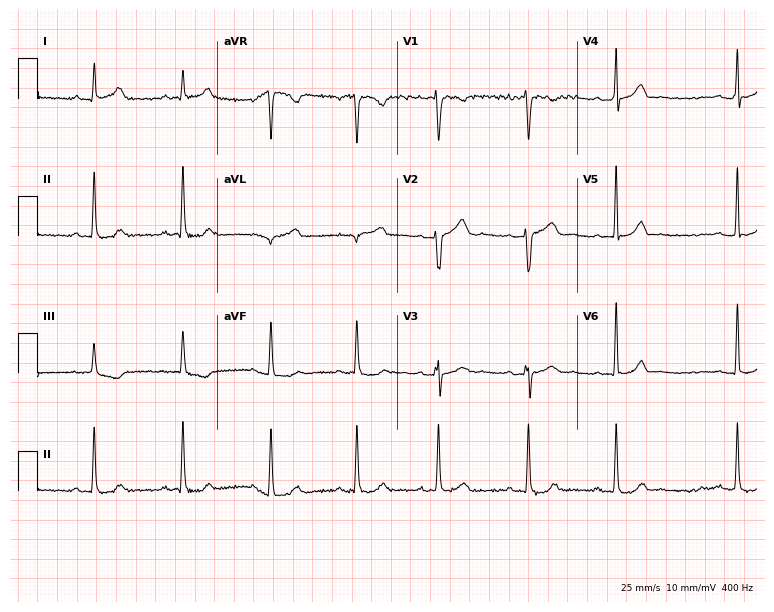
12-lead ECG from a female patient, 43 years old (7.3-second recording at 400 Hz). No first-degree AV block, right bundle branch block, left bundle branch block, sinus bradycardia, atrial fibrillation or sinus tachycardia recorded for this tracing.